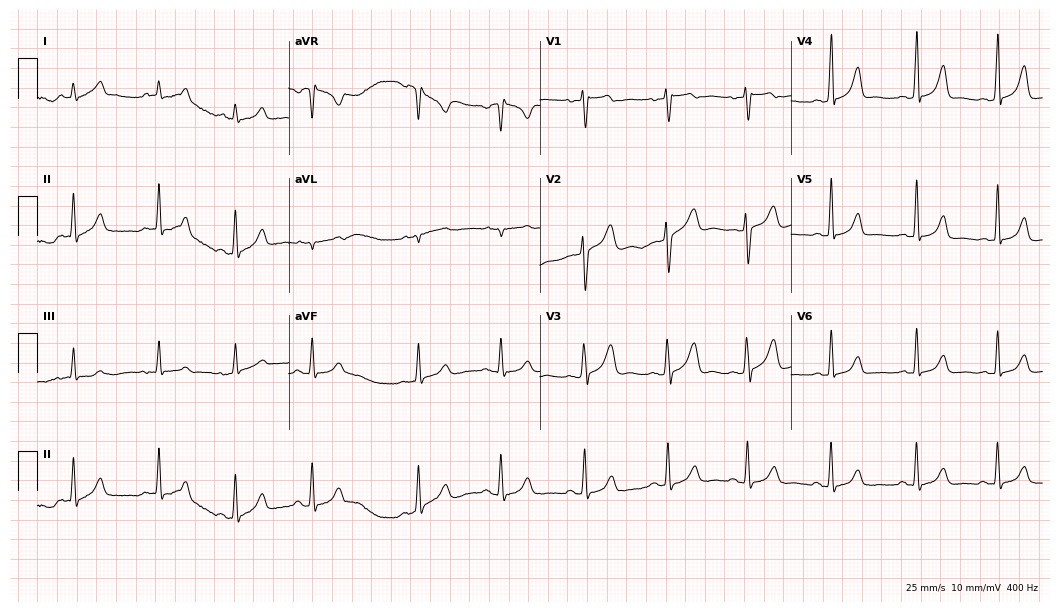
Resting 12-lead electrocardiogram (10.2-second recording at 400 Hz). Patient: a female, 32 years old. Read as a normal ECG.